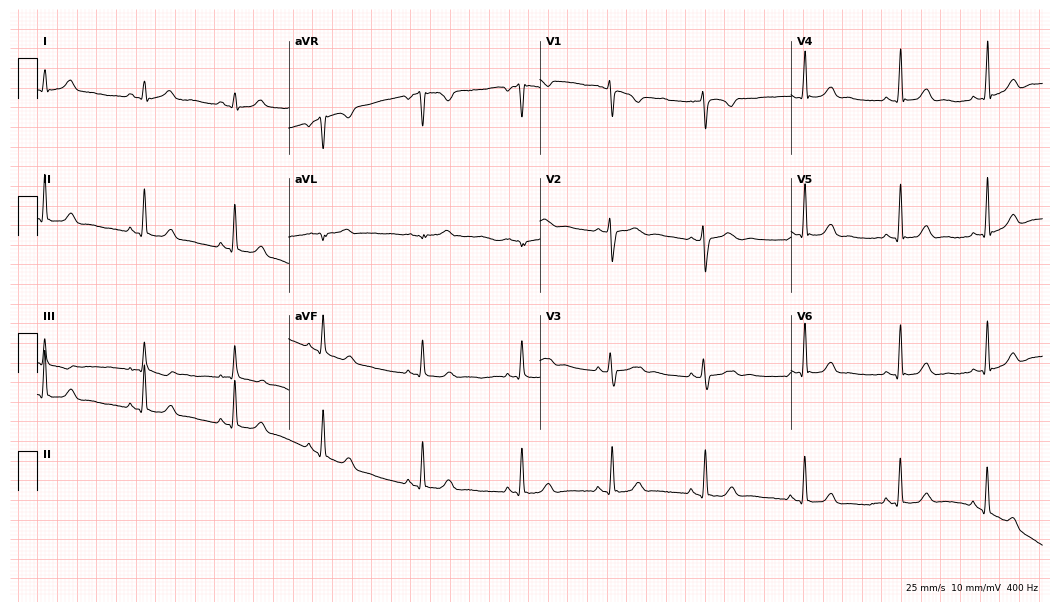
Resting 12-lead electrocardiogram (10.2-second recording at 400 Hz). Patient: a 28-year-old woman. Read as a normal ECG.